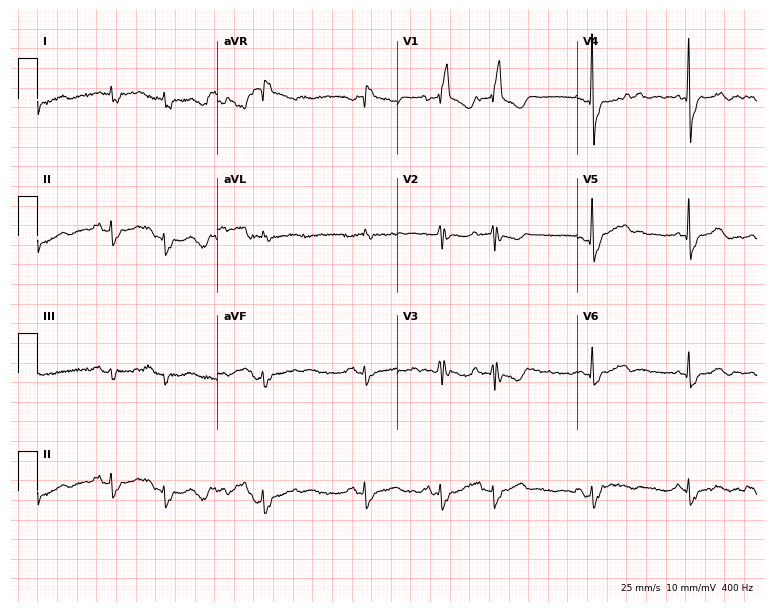
Electrocardiogram, a 69-year-old female. Interpretation includes right bundle branch block (RBBB).